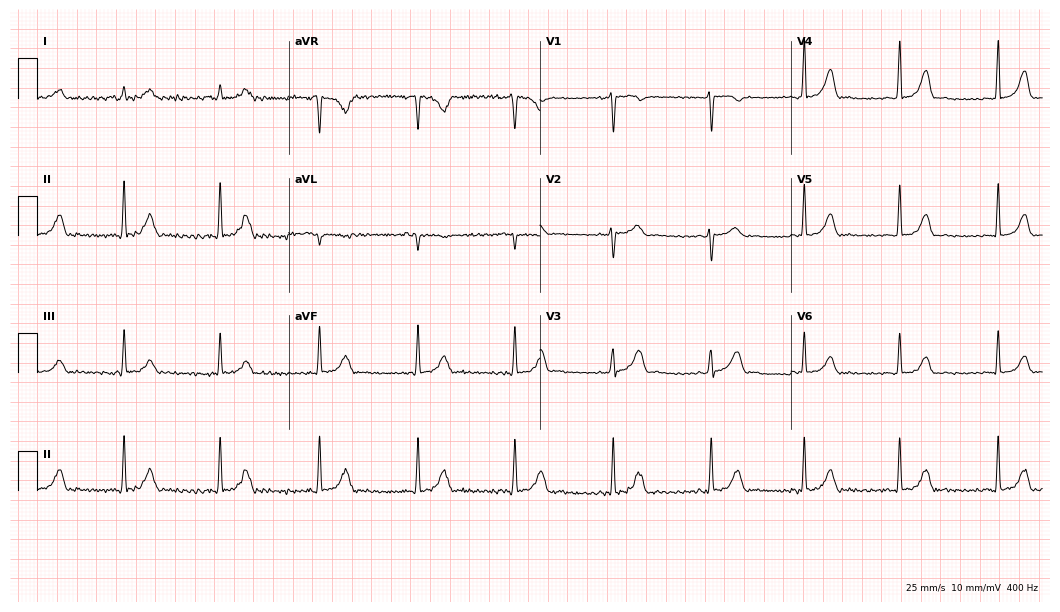
Standard 12-lead ECG recorded from a woman, 31 years old. Read as a normal ECG.